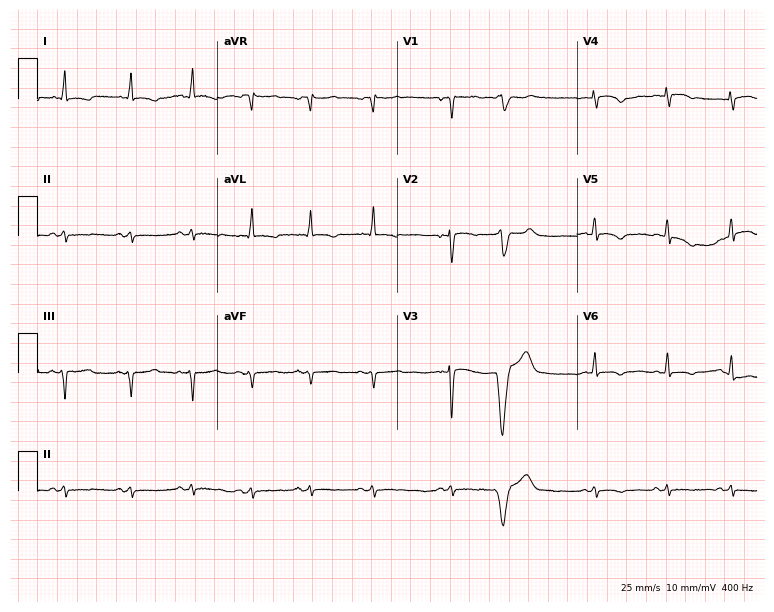
12-lead ECG from a female, 83 years old. No first-degree AV block, right bundle branch block, left bundle branch block, sinus bradycardia, atrial fibrillation or sinus tachycardia recorded for this tracing.